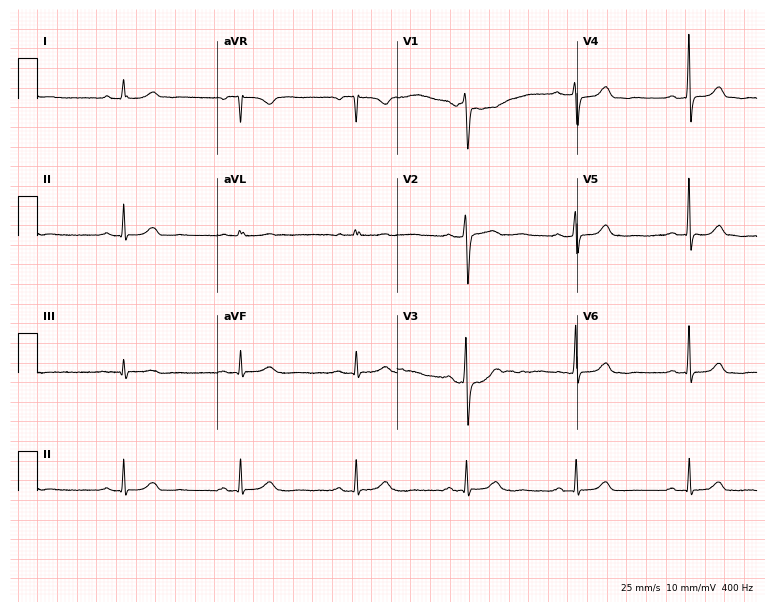
Standard 12-lead ECG recorded from a female patient, 67 years old. None of these six findings is recorded: first-degree AV block, right bundle branch block, left bundle branch block, sinus bradycardia, atrial fibrillation, sinus tachycardia.